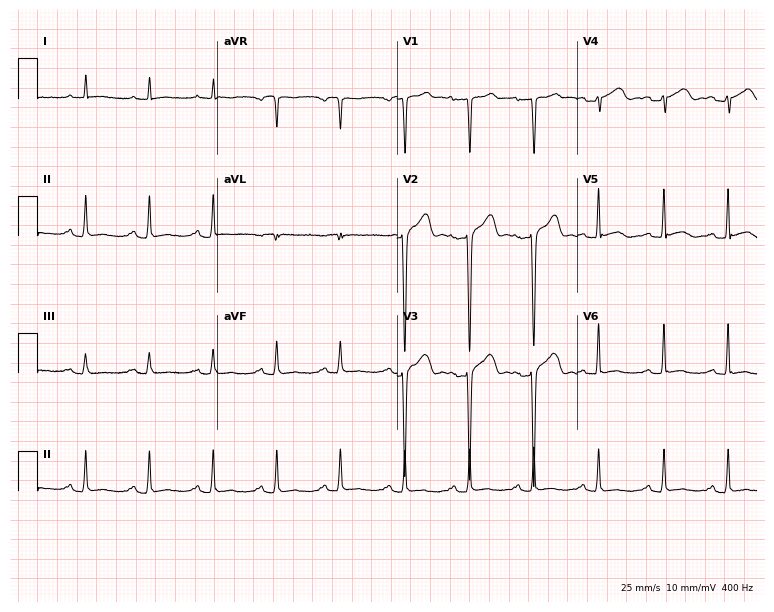
Electrocardiogram (7.3-second recording at 400 Hz), a male patient, 52 years old. Of the six screened findings (first-degree AV block, right bundle branch block (RBBB), left bundle branch block (LBBB), sinus bradycardia, atrial fibrillation (AF), sinus tachycardia), none is recorded.